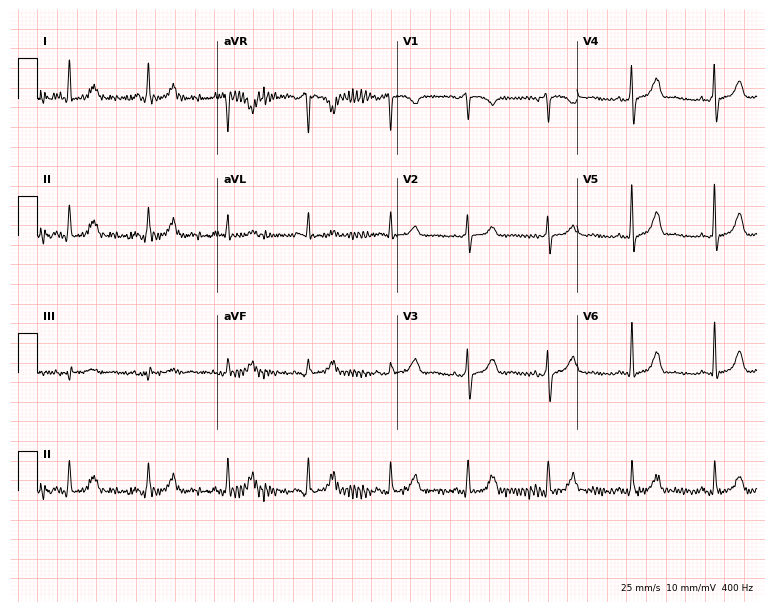
12-lead ECG from a woman, 56 years old. No first-degree AV block, right bundle branch block (RBBB), left bundle branch block (LBBB), sinus bradycardia, atrial fibrillation (AF) or sinus tachycardia recorded for this tracing.